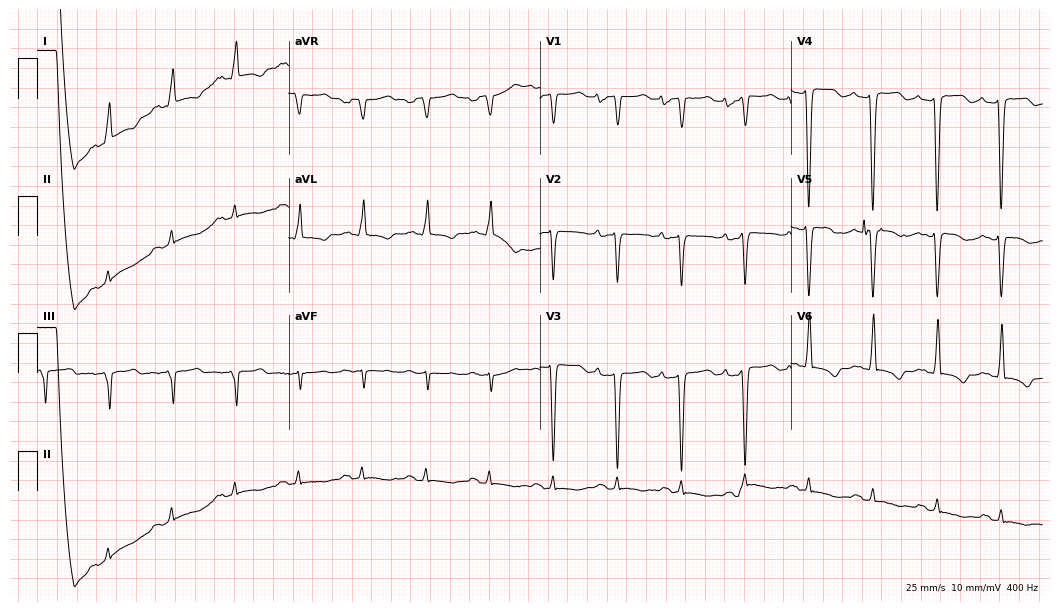
12-lead ECG from a female patient, 46 years old. Screened for six findings — first-degree AV block, right bundle branch block (RBBB), left bundle branch block (LBBB), sinus bradycardia, atrial fibrillation (AF), sinus tachycardia — none is recorded.